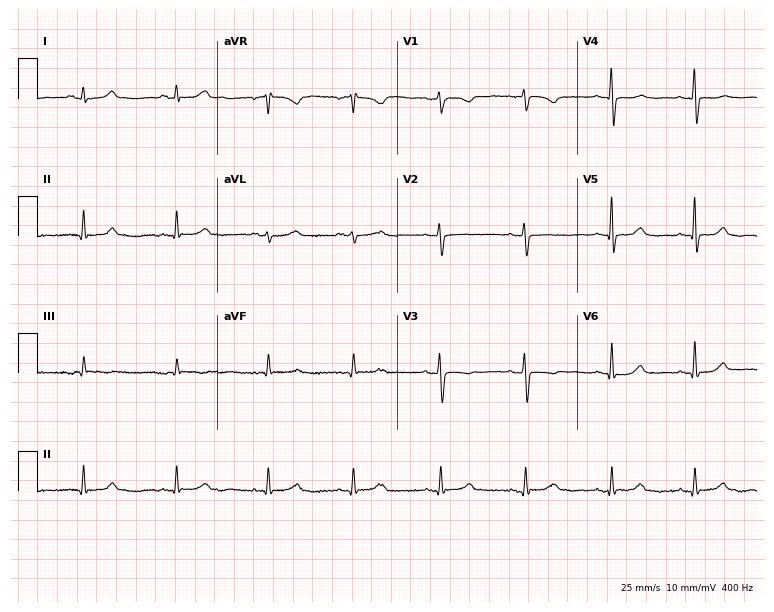
12-lead ECG from a 57-year-old female patient (7.3-second recording at 400 Hz). Recorded interpretation: within normal limits.